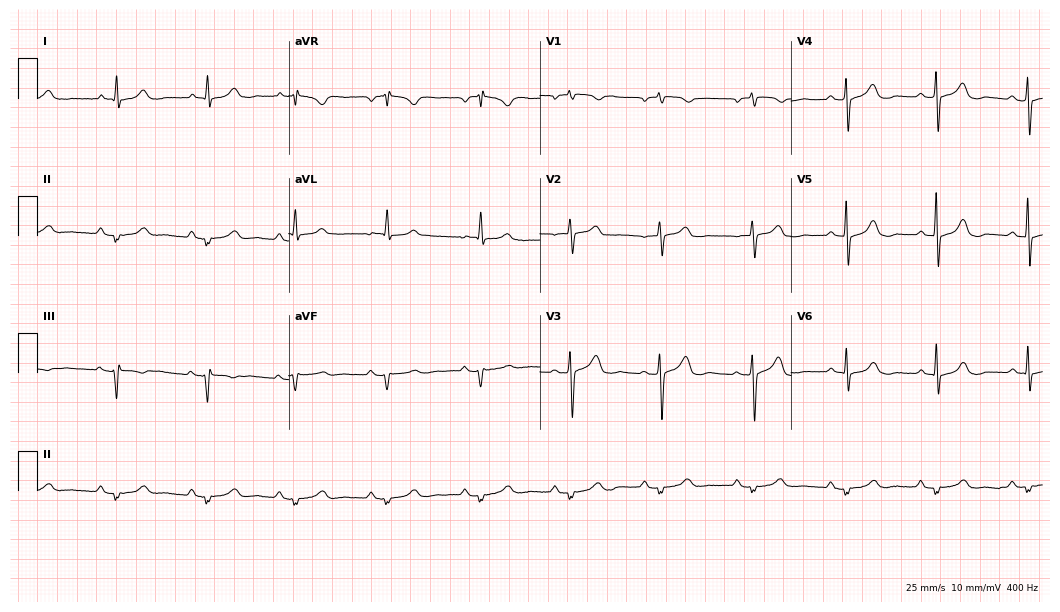
Standard 12-lead ECG recorded from a female, 72 years old. None of these six findings is recorded: first-degree AV block, right bundle branch block (RBBB), left bundle branch block (LBBB), sinus bradycardia, atrial fibrillation (AF), sinus tachycardia. Only these six findings were labelled.